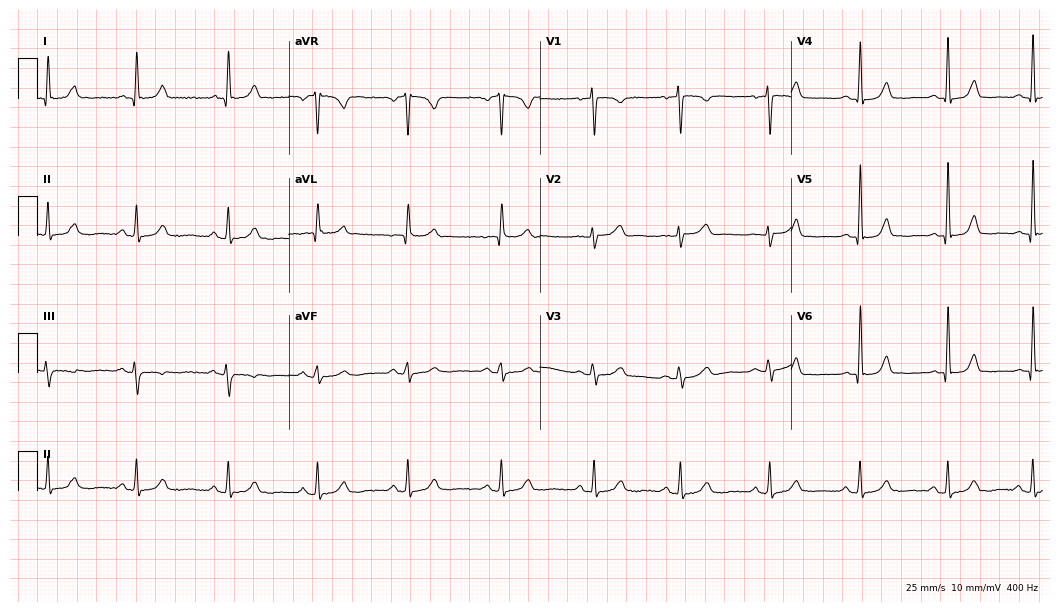
Standard 12-lead ECG recorded from a 45-year-old woman. Read as a normal ECG.